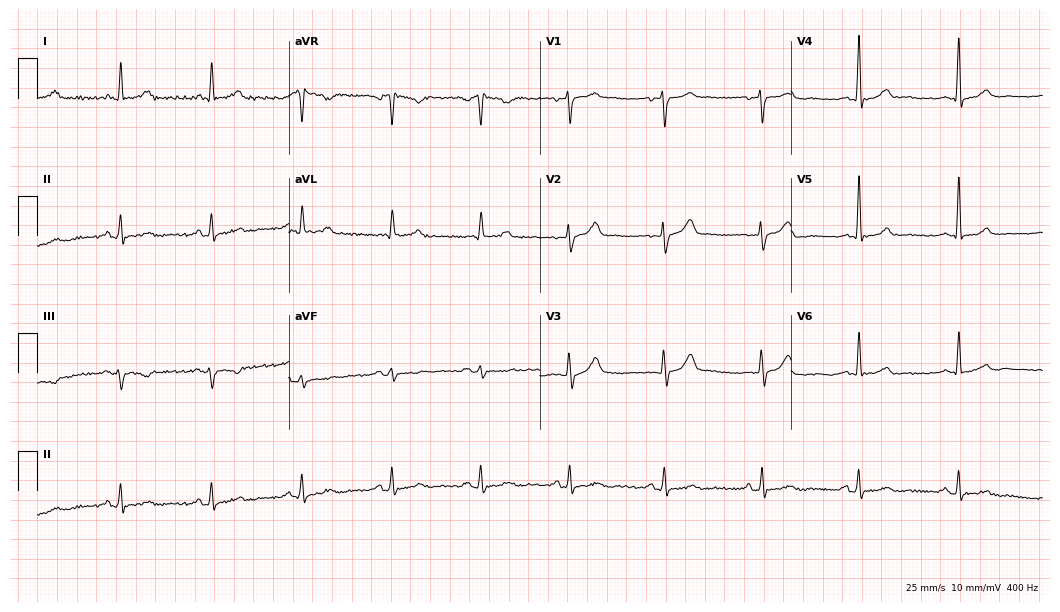
Electrocardiogram (10.2-second recording at 400 Hz), a male, 35 years old. Overall reading on record: normal ECG.